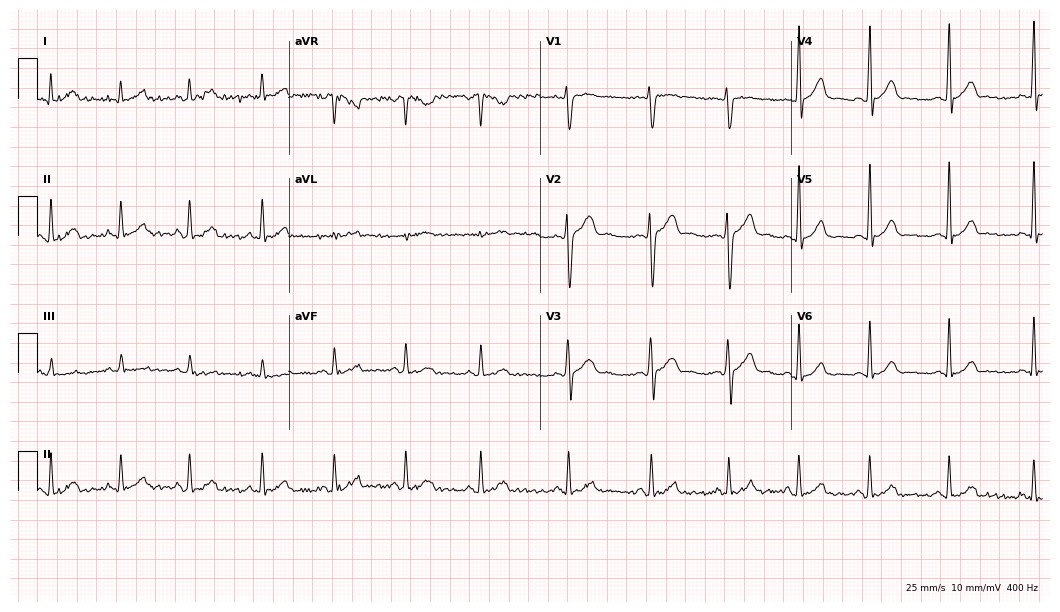
Electrocardiogram (10.2-second recording at 400 Hz), a 21-year-old male. Overall reading on record: normal ECG.